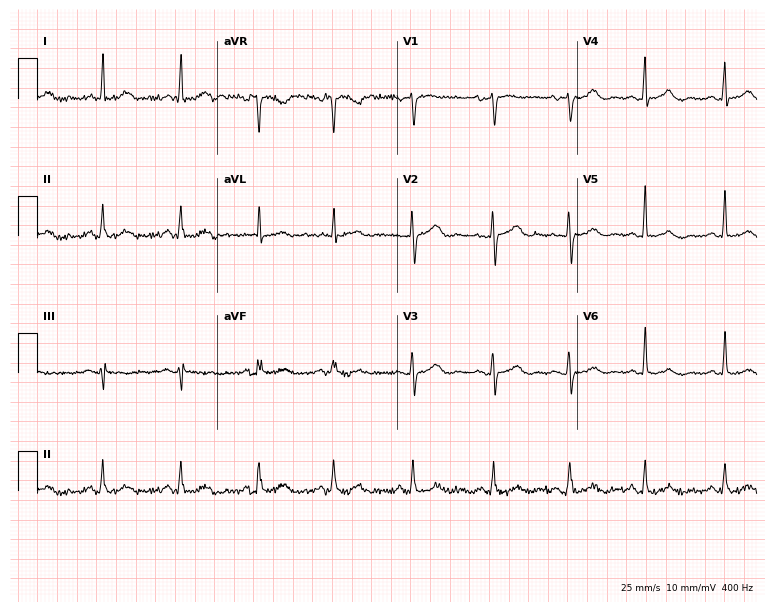
ECG (7.3-second recording at 400 Hz) — a 76-year-old female patient. Labelled as a normal ECG.